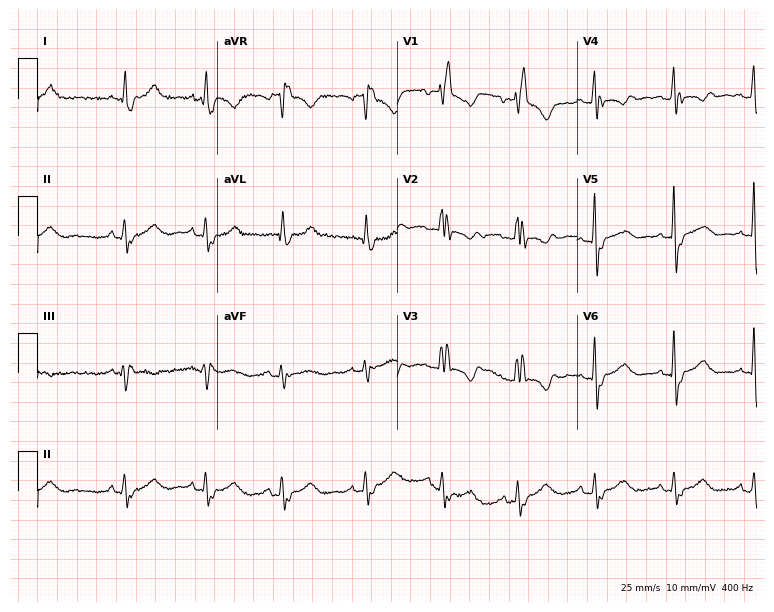
ECG — a 54-year-old female patient. Findings include right bundle branch block.